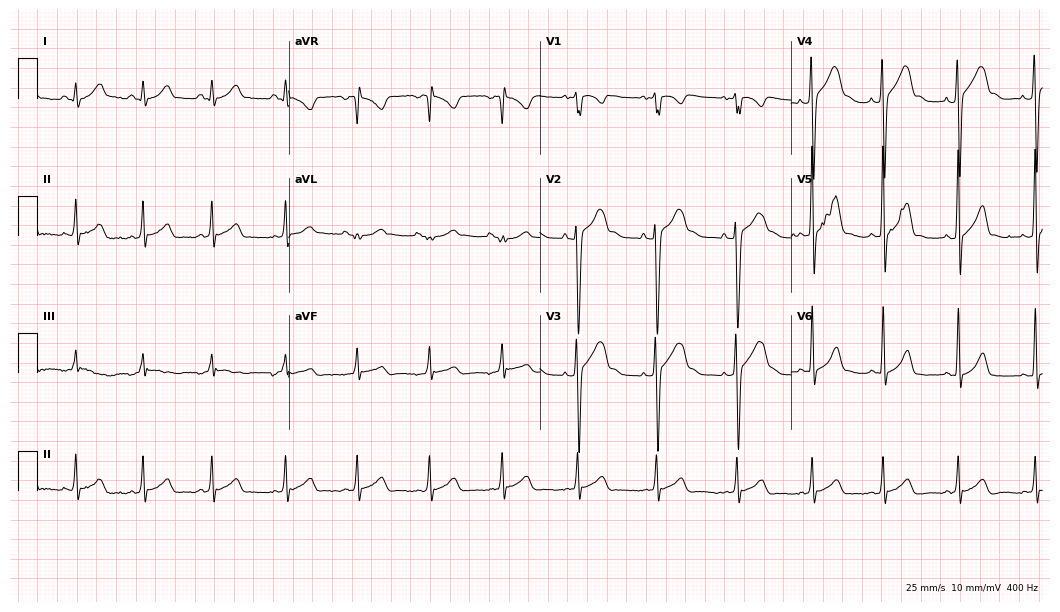
Electrocardiogram, a 19-year-old man. Of the six screened findings (first-degree AV block, right bundle branch block (RBBB), left bundle branch block (LBBB), sinus bradycardia, atrial fibrillation (AF), sinus tachycardia), none is recorded. Only these six findings were labelled.